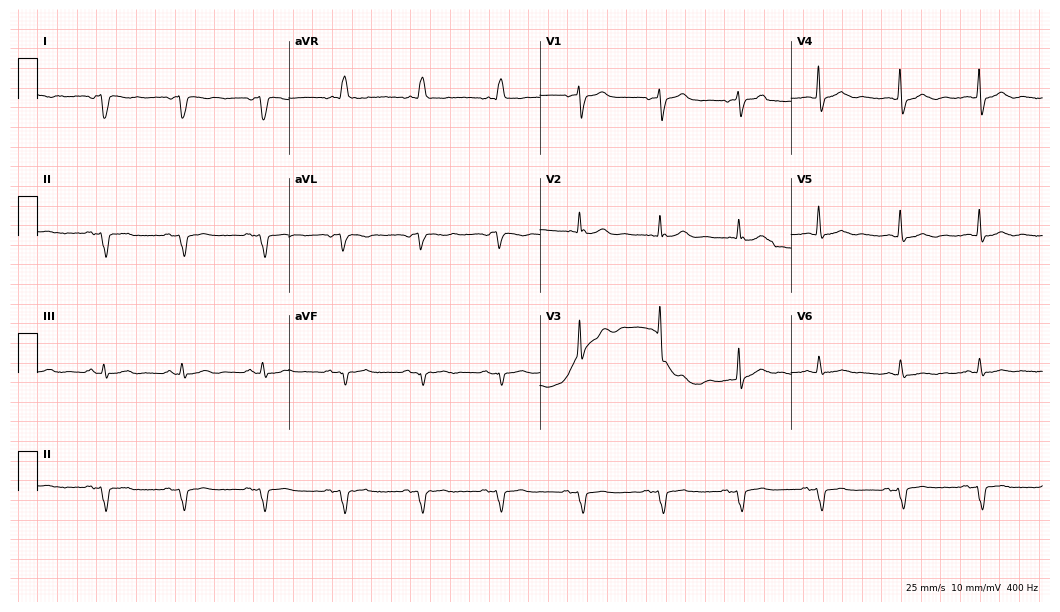
12-lead ECG from a female patient, 79 years old. No first-degree AV block, right bundle branch block (RBBB), left bundle branch block (LBBB), sinus bradycardia, atrial fibrillation (AF) or sinus tachycardia recorded for this tracing.